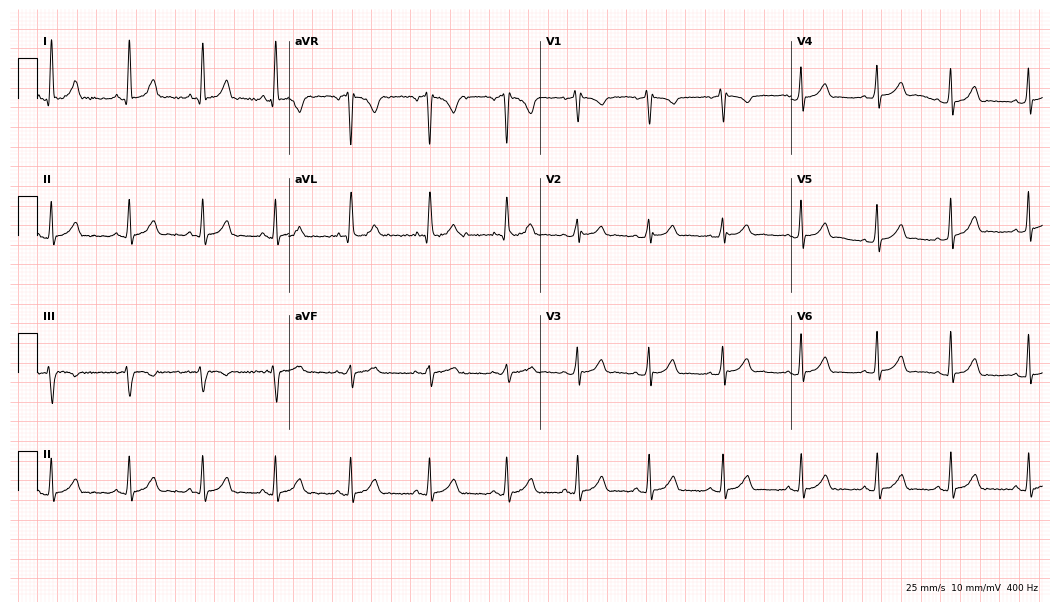
Electrocardiogram (10.2-second recording at 400 Hz), a 27-year-old male. Overall reading on record: normal ECG.